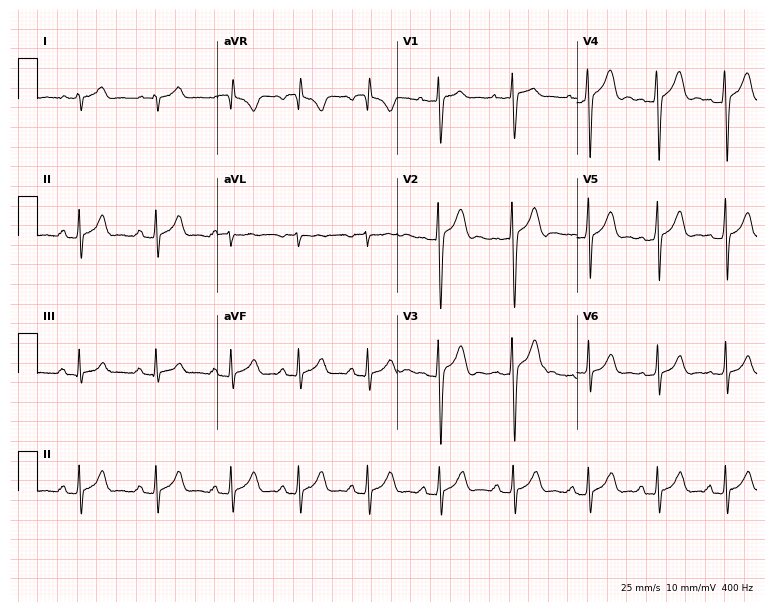
ECG — a 19-year-old man. Screened for six findings — first-degree AV block, right bundle branch block, left bundle branch block, sinus bradycardia, atrial fibrillation, sinus tachycardia — none is recorded. Other findings, if any, are not listed.